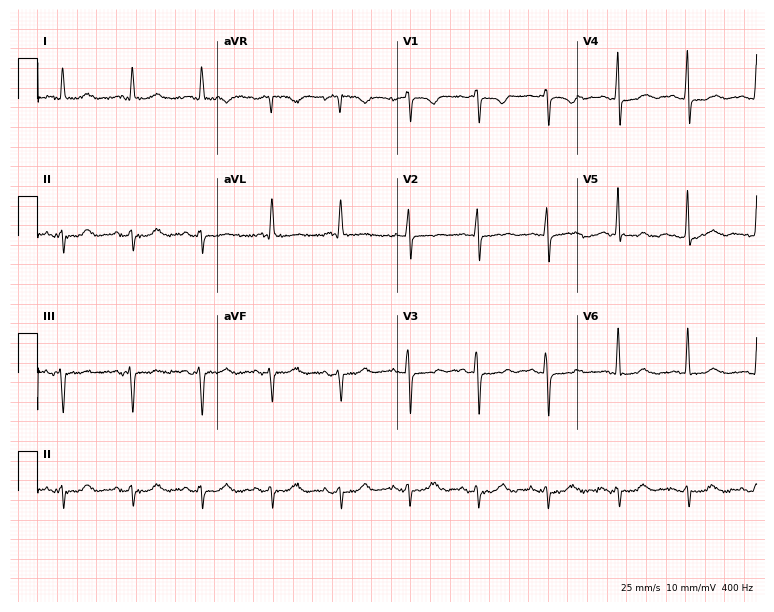
Standard 12-lead ECG recorded from an 85-year-old woman. None of these six findings is recorded: first-degree AV block, right bundle branch block, left bundle branch block, sinus bradycardia, atrial fibrillation, sinus tachycardia.